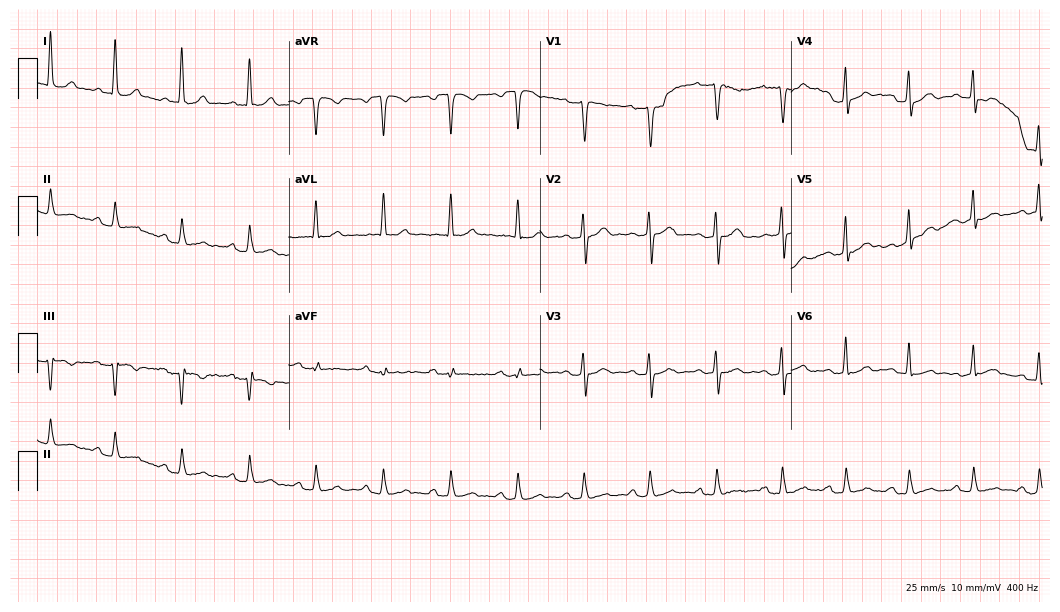
12-lead ECG from a 46-year-old man. Labelled as a normal ECG.